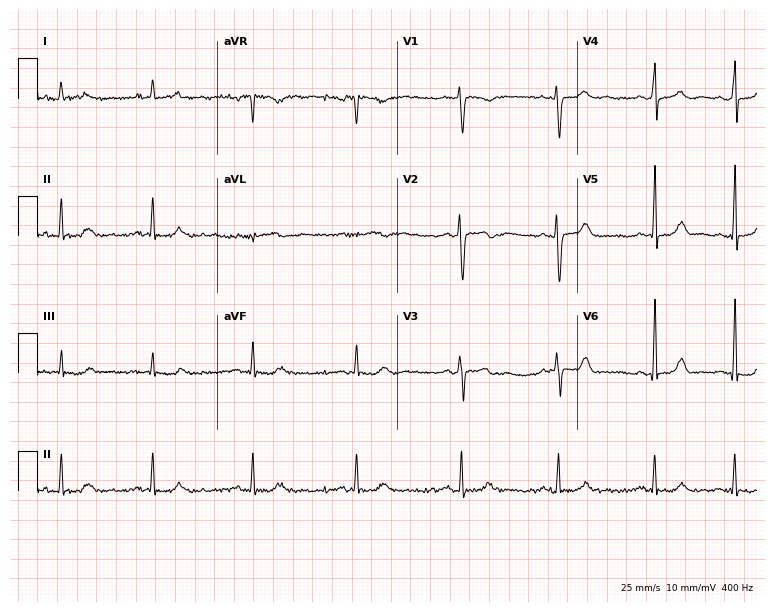
Resting 12-lead electrocardiogram. Patient: a woman, 22 years old. Read as a normal ECG.